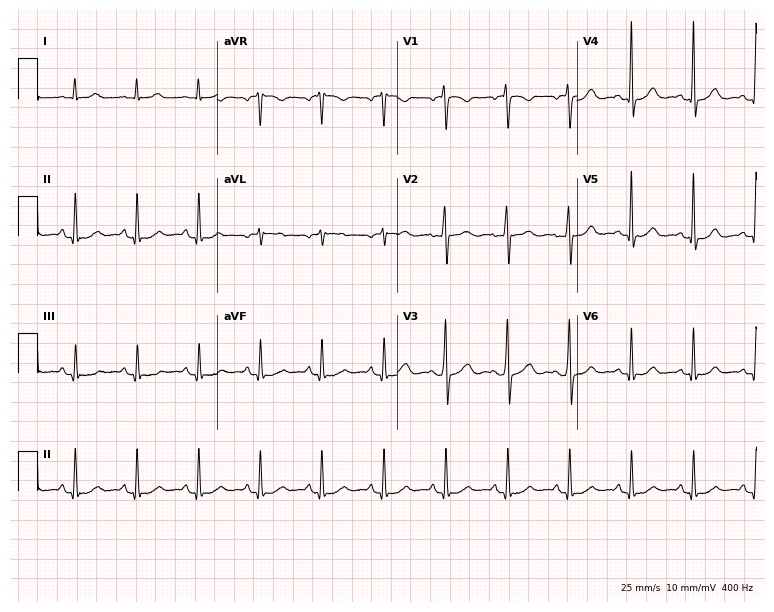
Electrocardiogram, a female patient, 35 years old. Of the six screened findings (first-degree AV block, right bundle branch block (RBBB), left bundle branch block (LBBB), sinus bradycardia, atrial fibrillation (AF), sinus tachycardia), none is recorded. Findings outside these six are not listed.